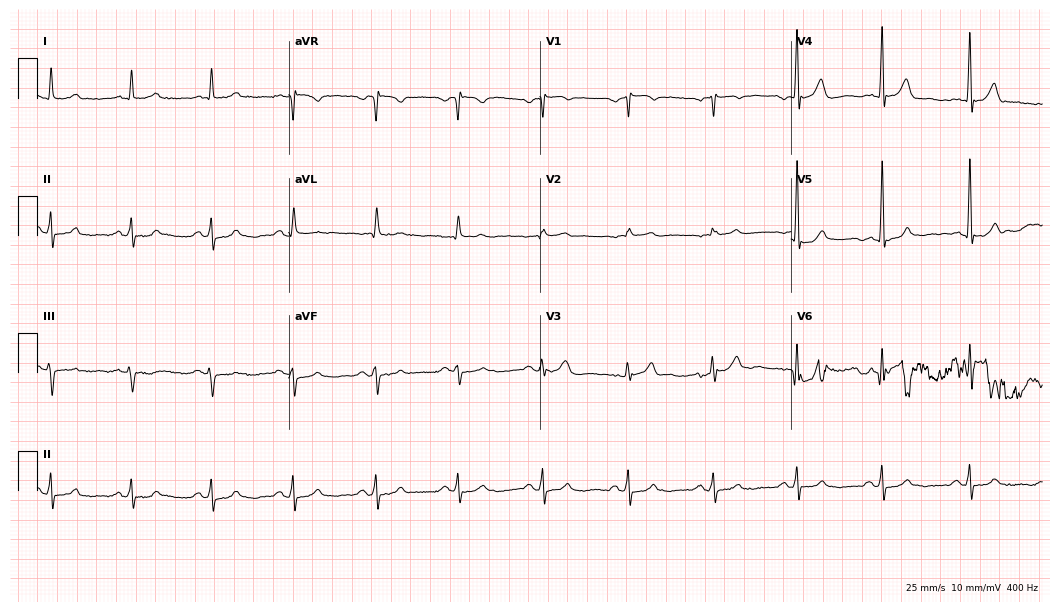
ECG (10.2-second recording at 400 Hz) — a male, 73 years old. Labelled as a normal ECG.